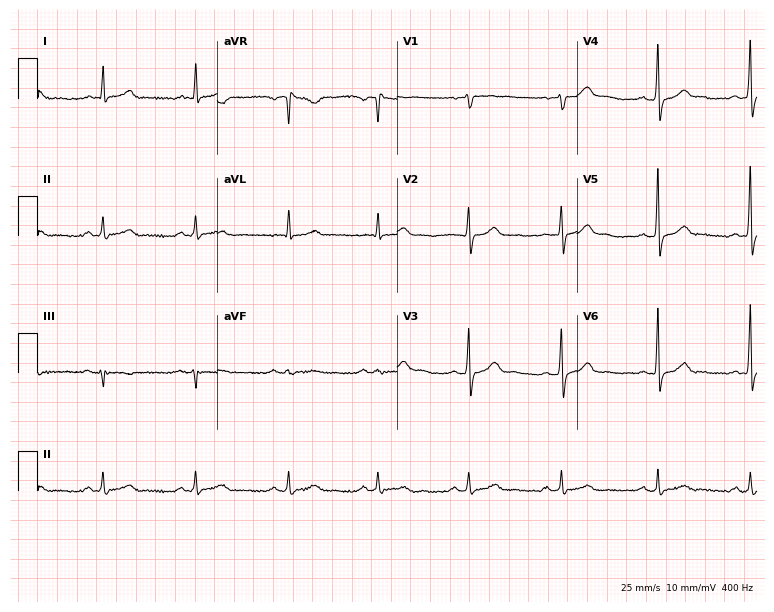
ECG — a man, 47 years old. Labelled as a normal ECG.